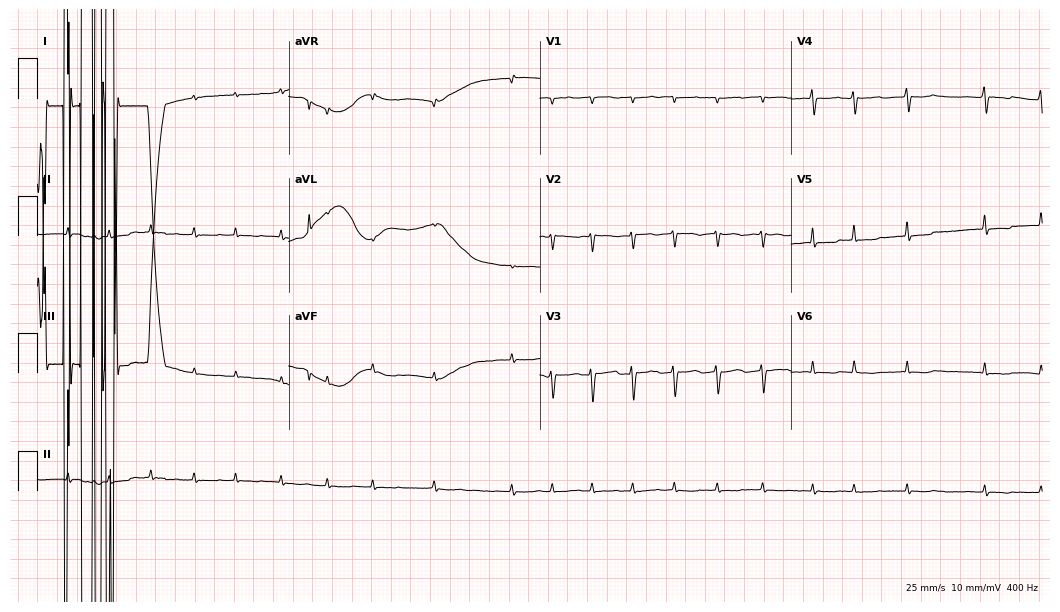
ECG (10.2-second recording at 400 Hz) — a 73-year-old female patient. Findings include atrial fibrillation (AF).